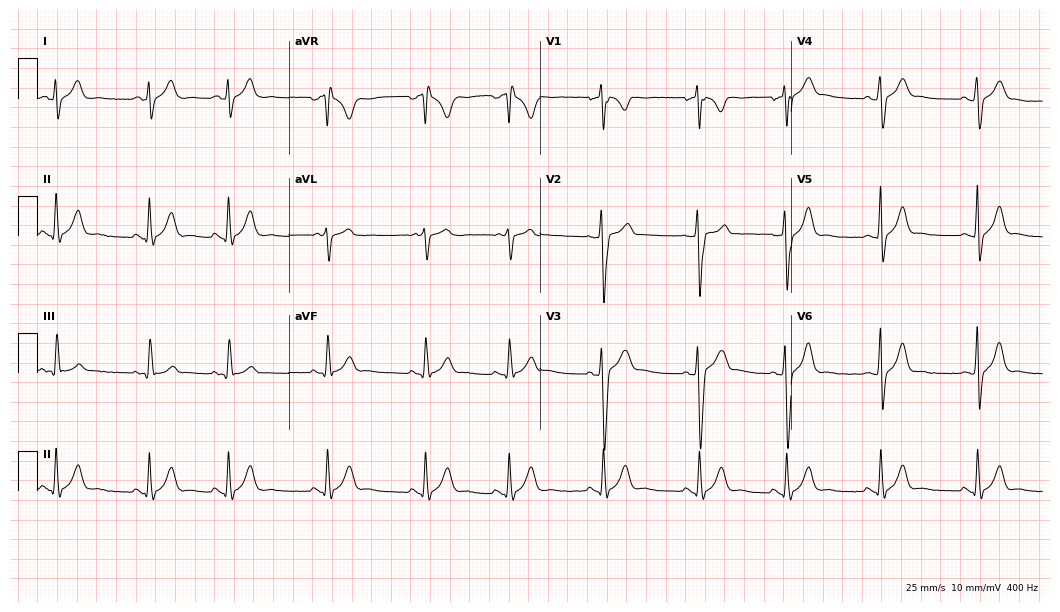
ECG — an 18-year-old male patient. Labelled as a normal ECG.